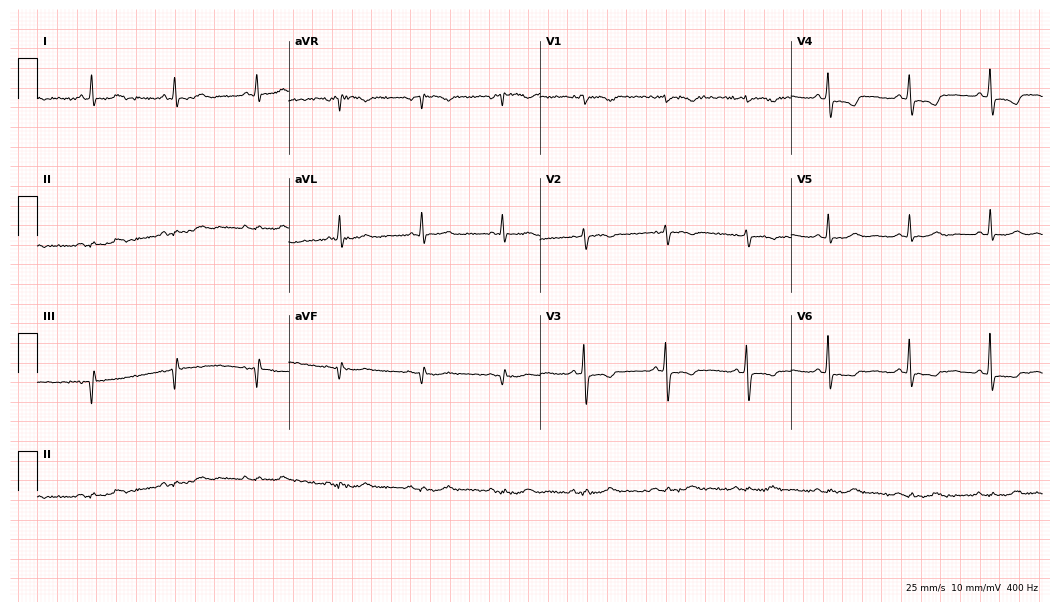
Standard 12-lead ECG recorded from a 61-year-old male patient (10.2-second recording at 400 Hz). None of these six findings is recorded: first-degree AV block, right bundle branch block, left bundle branch block, sinus bradycardia, atrial fibrillation, sinus tachycardia. Other findings, if any, are not listed.